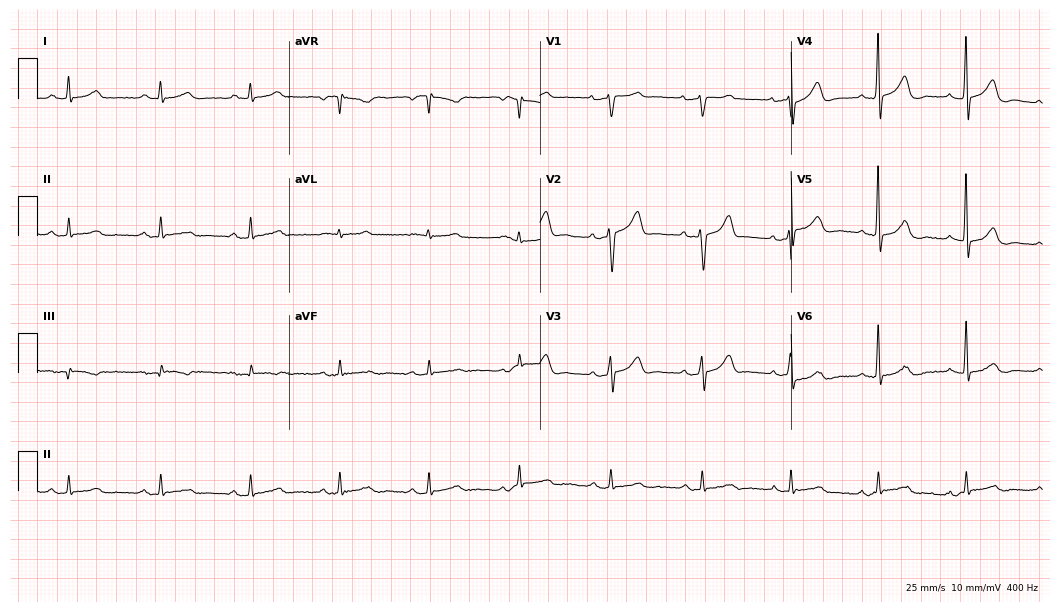
Resting 12-lead electrocardiogram (10.2-second recording at 400 Hz). Patient: a 70-year-old male. Read as a normal ECG.